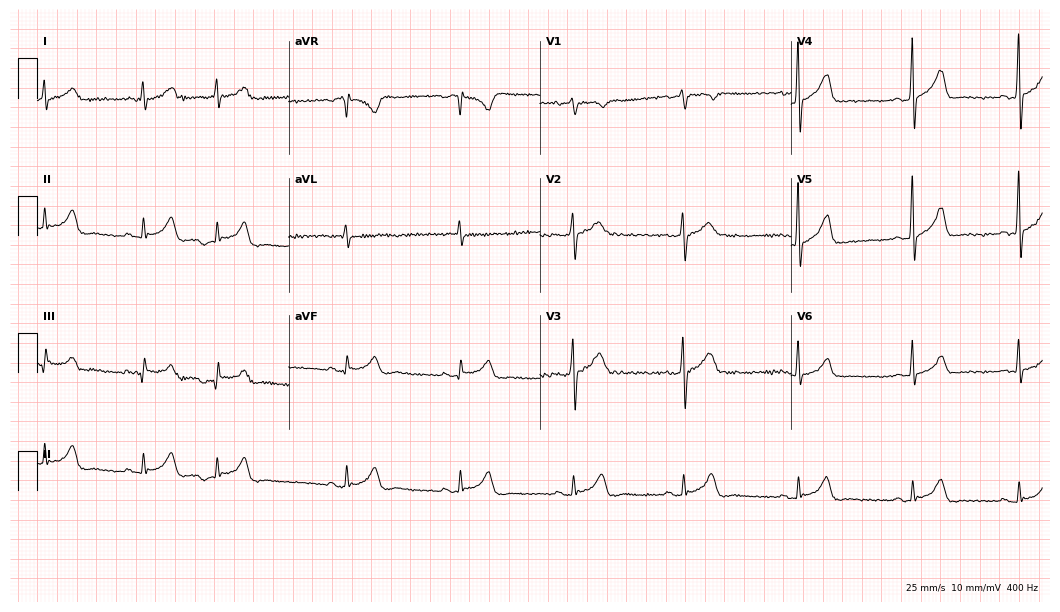
12-lead ECG (10.2-second recording at 400 Hz) from a 42-year-old man. Screened for six findings — first-degree AV block, right bundle branch block, left bundle branch block, sinus bradycardia, atrial fibrillation, sinus tachycardia — none is recorded.